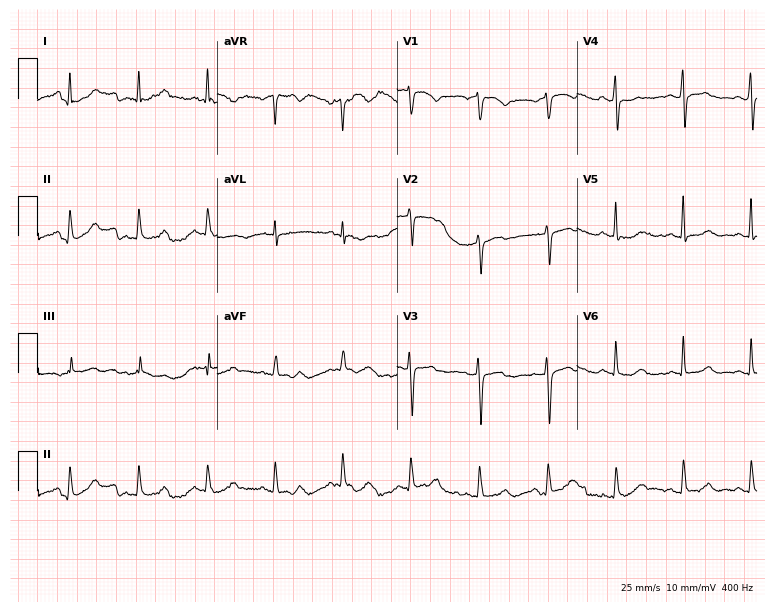
12-lead ECG from a female patient, 57 years old (7.3-second recording at 400 Hz). Recorded interpretation: within normal limits.